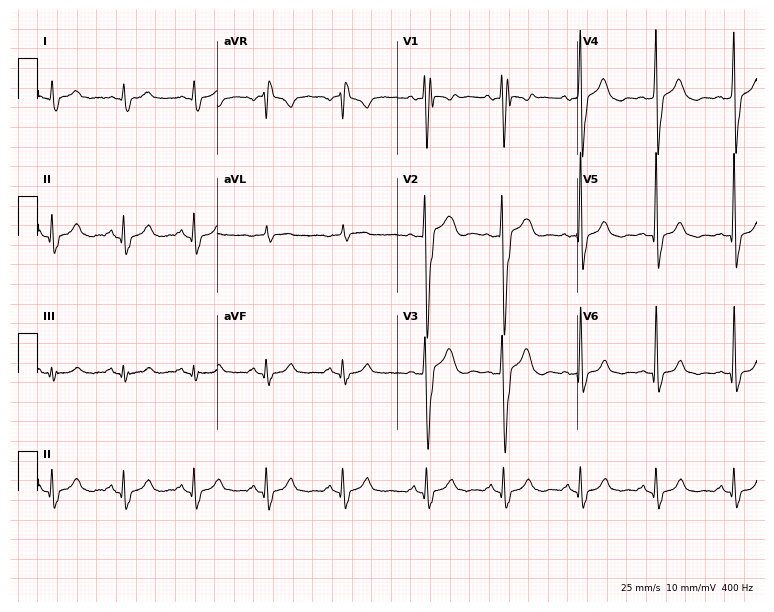
12-lead ECG from a man, 53 years old. Shows right bundle branch block.